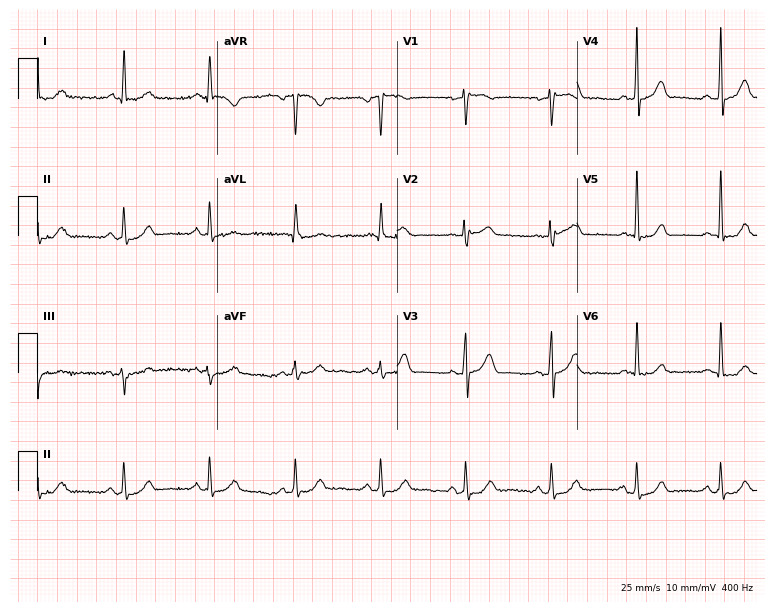
12-lead ECG from a male patient, 71 years old. Recorded interpretation: within normal limits.